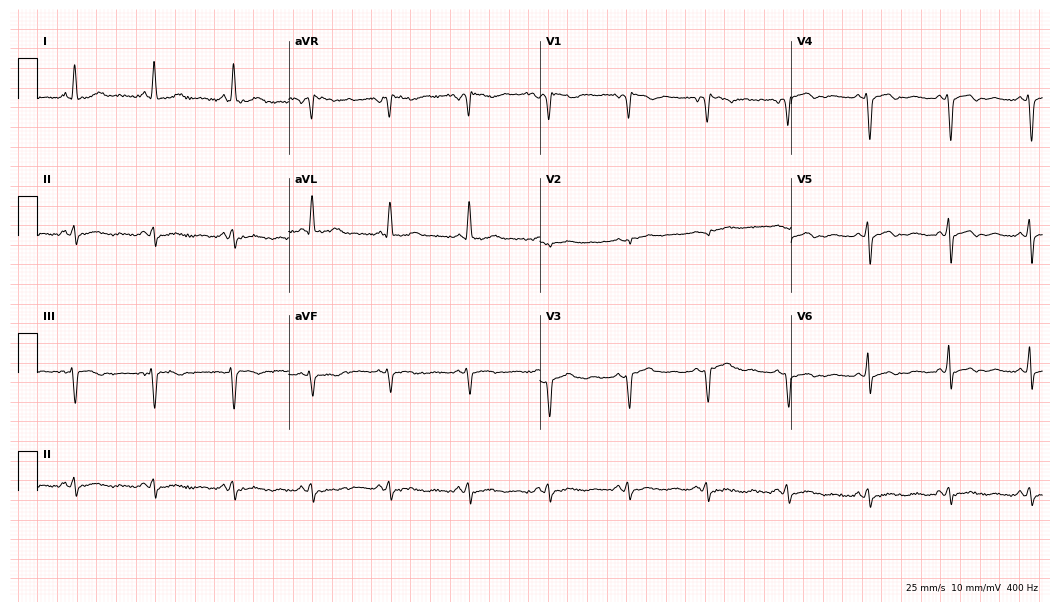
Electrocardiogram (10.2-second recording at 400 Hz), a female patient, 42 years old. Of the six screened findings (first-degree AV block, right bundle branch block, left bundle branch block, sinus bradycardia, atrial fibrillation, sinus tachycardia), none is recorded.